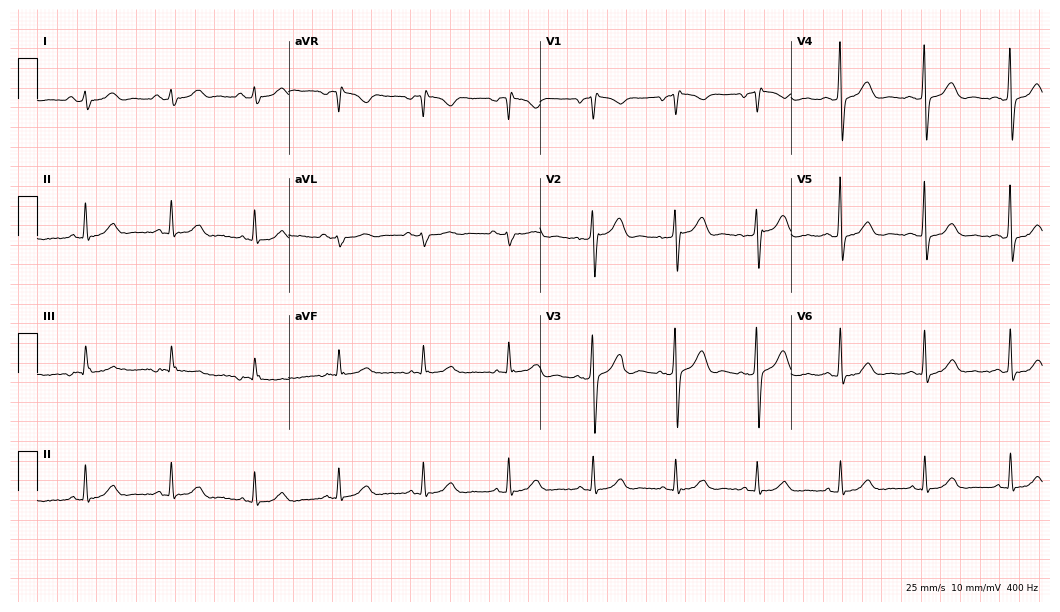
12-lead ECG from a 74-year-old male patient. Labelled as a normal ECG.